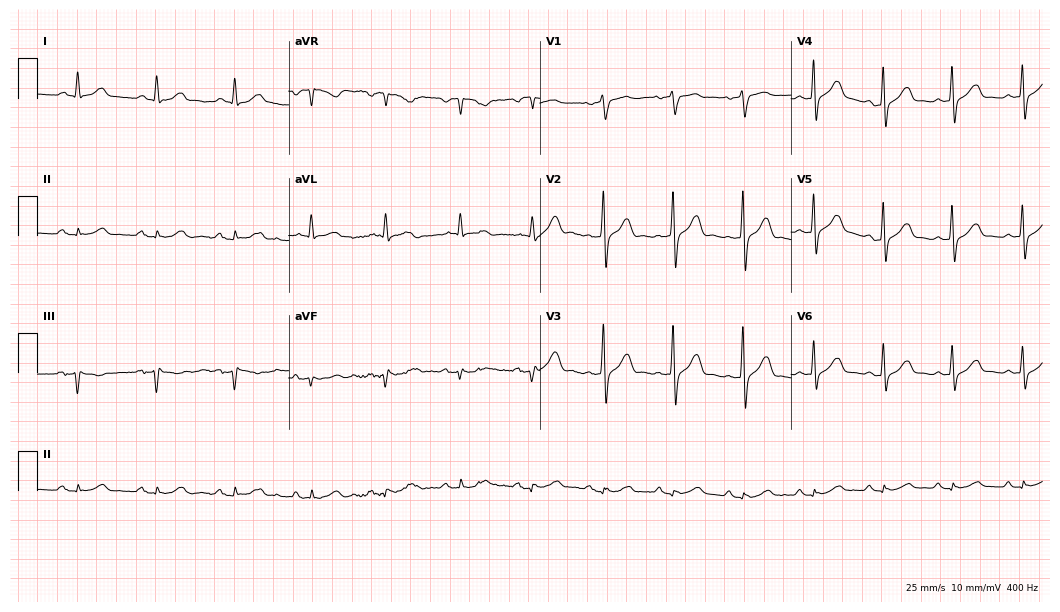
Standard 12-lead ECG recorded from a 72-year-old man (10.2-second recording at 400 Hz). Read as a normal ECG.